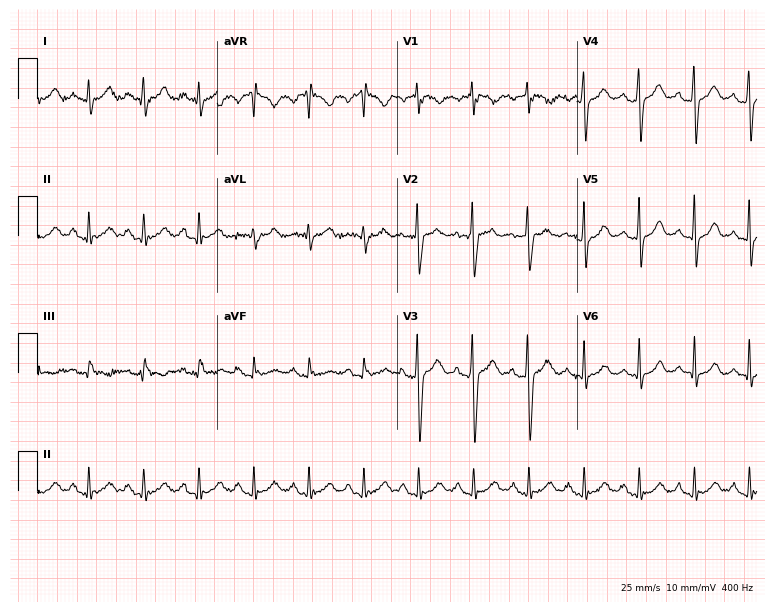
12-lead ECG from a 21-year-old male (7.3-second recording at 400 Hz). Shows sinus tachycardia (a sinus rate of 100 beats per minute or more).